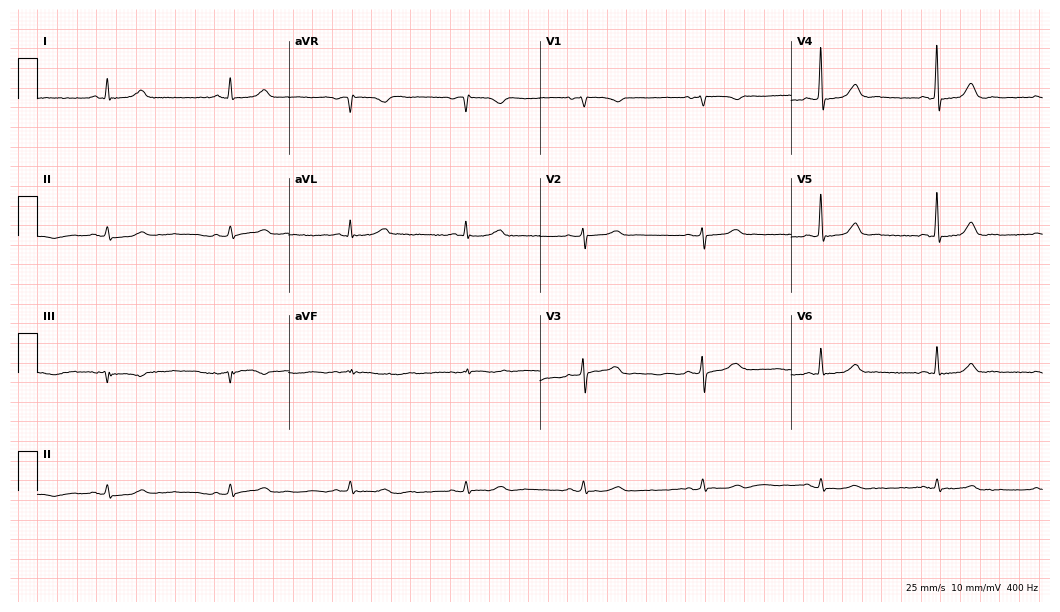
Resting 12-lead electrocardiogram (10.2-second recording at 400 Hz). Patient: a female, 77 years old. None of these six findings is recorded: first-degree AV block, right bundle branch block, left bundle branch block, sinus bradycardia, atrial fibrillation, sinus tachycardia. Only these six findings were labelled.